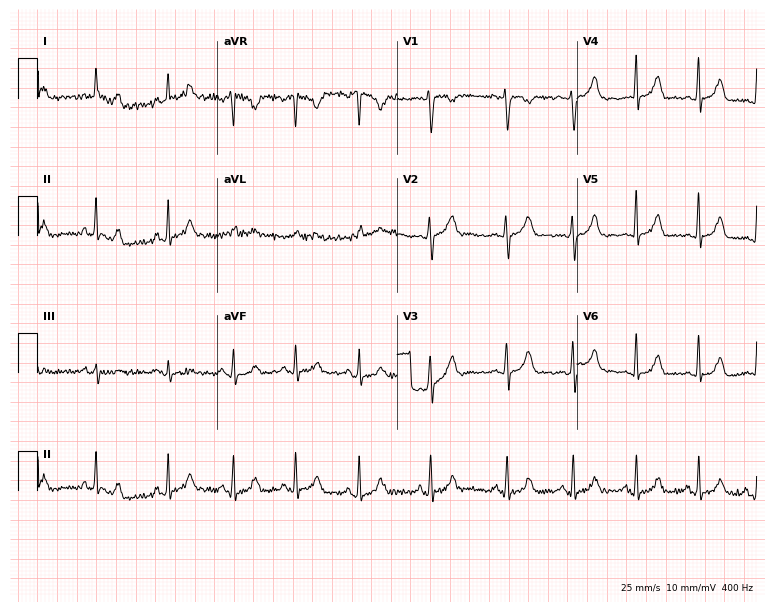
12-lead ECG (7.3-second recording at 400 Hz) from a 32-year-old woman. Labelled as a normal ECG.